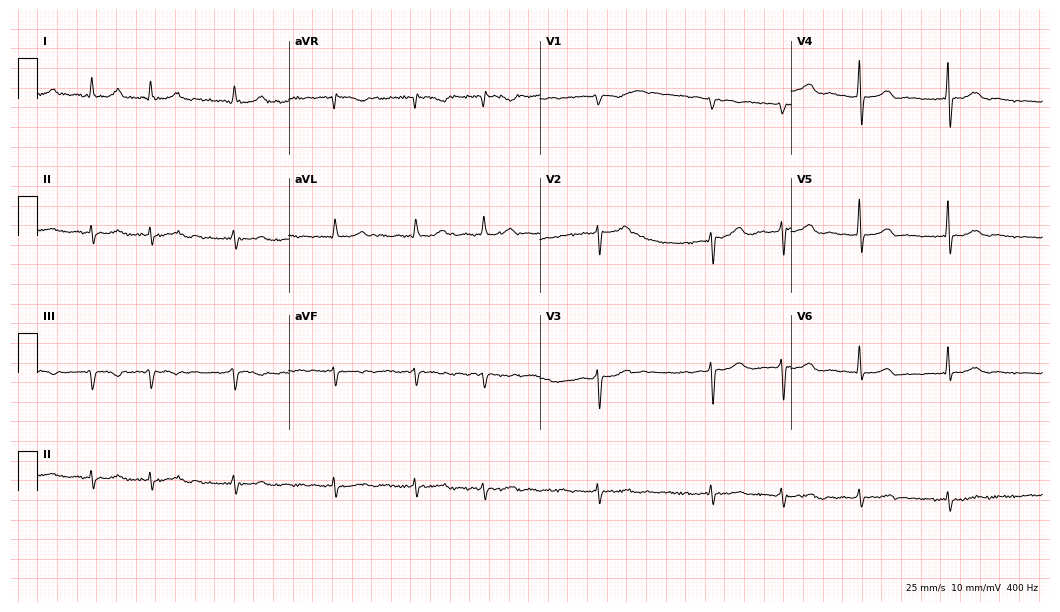
Standard 12-lead ECG recorded from a woman, 71 years old. The tracing shows atrial fibrillation (AF).